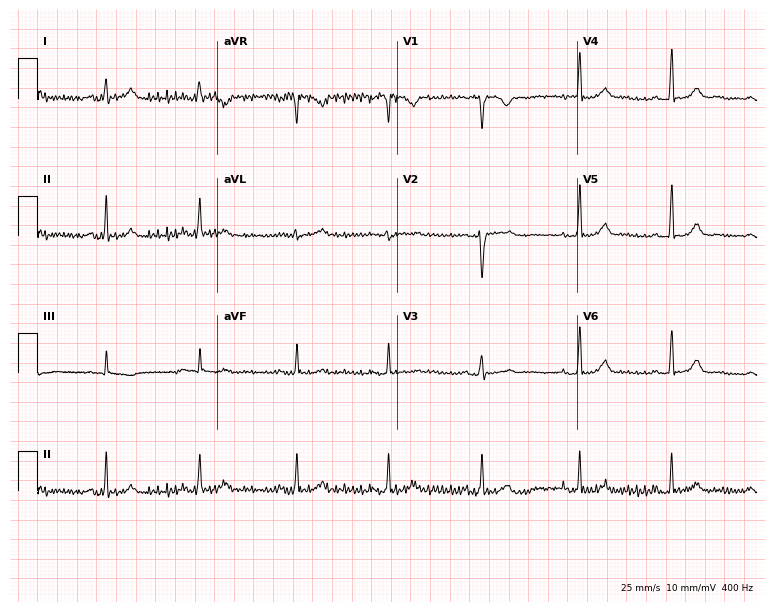
12-lead ECG from a 32-year-old woman. Screened for six findings — first-degree AV block, right bundle branch block, left bundle branch block, sinus bradycardia, atrial fibrillation, sinus tachycardia — none is recorded. Only these six findings were labelled.